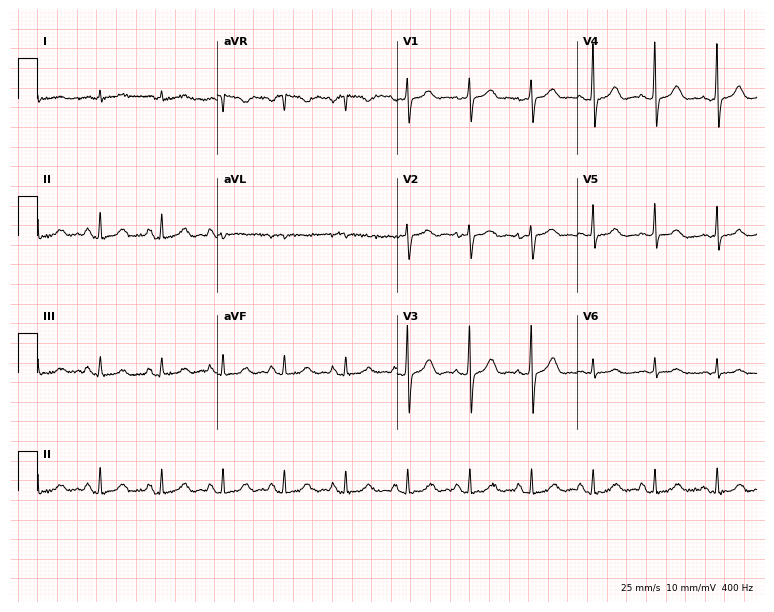
12-lead ECG (7.3-second recording at 400 Hz) from a male patient, 84 years old. Screened for six findings — first-degree AV block, right bundle branch block (RBBB), left bundle branch block (LBBB), sinus bradycardia, atrial fibrillation (AF), sinus tachycardia — none is recorded.